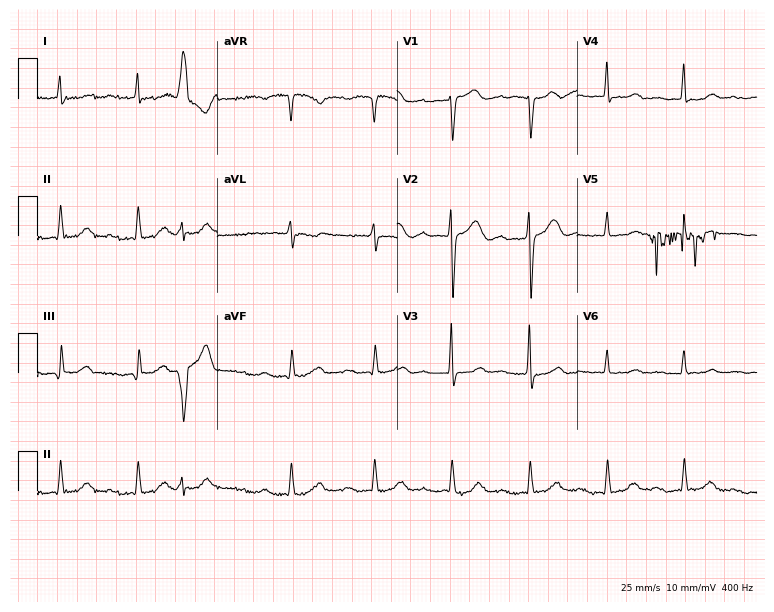
ECG (7.3-second recording at 400 Hz) — an 85-year-old male. Screened for six findings — first-degree AV block, right bundle branch block, left bundle branch block, sinus bradycardia, atrial fibrillation, sinus tachycardia — none is recorded.